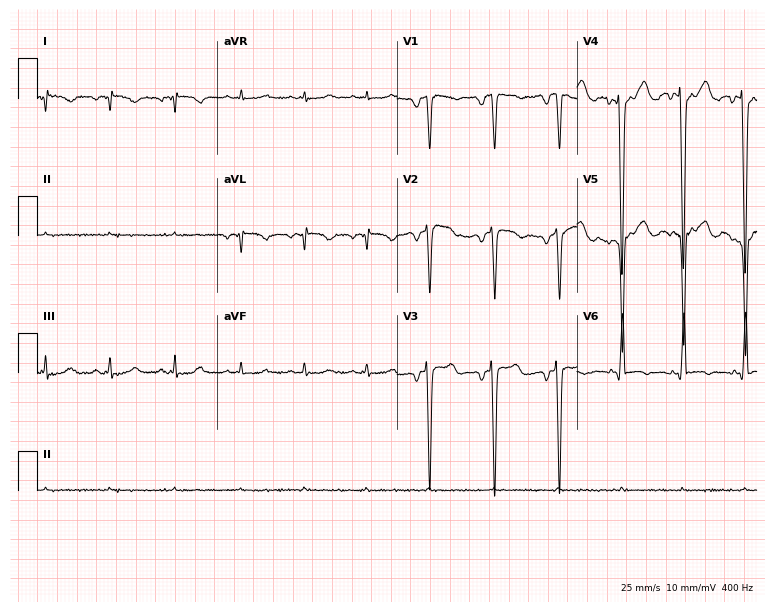
12-lead ECG from a 68-year-old man. Screened for six findings — first-degree AV block, right bundle branch block, left bundle branch block, sinus bradycardia, atrial fibrillation, sinus tachycardia — none is recorded. Findings outside these six are not listed.